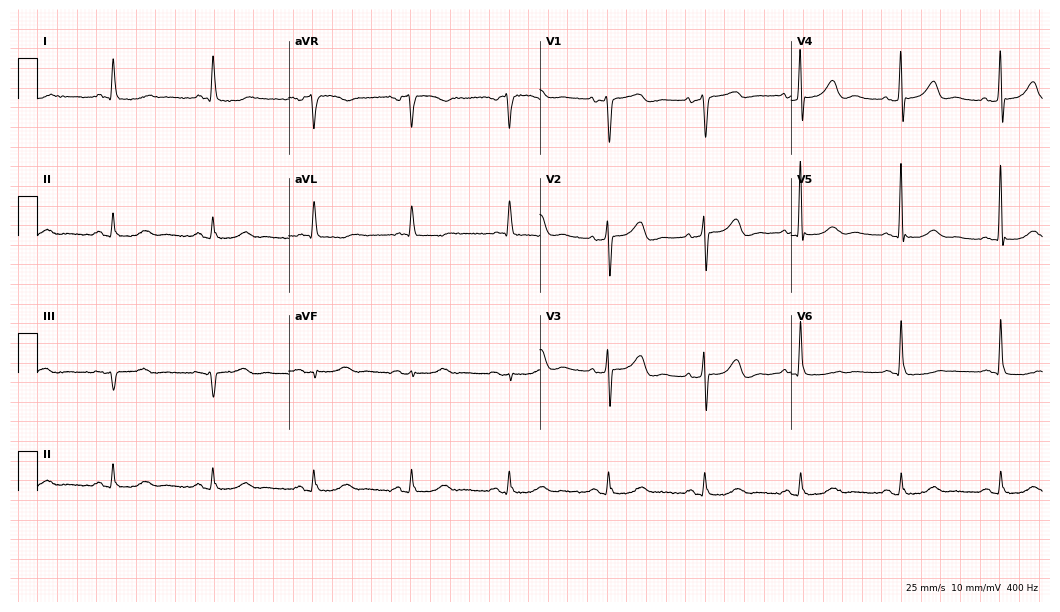
ECG — a female, 75 years old. Screened for six findings — first-degree AV block, right bundle branch block, left bundle branch block, sinus bradycardia, atrial fibrillation, sinus tachycardia — none is recorded.